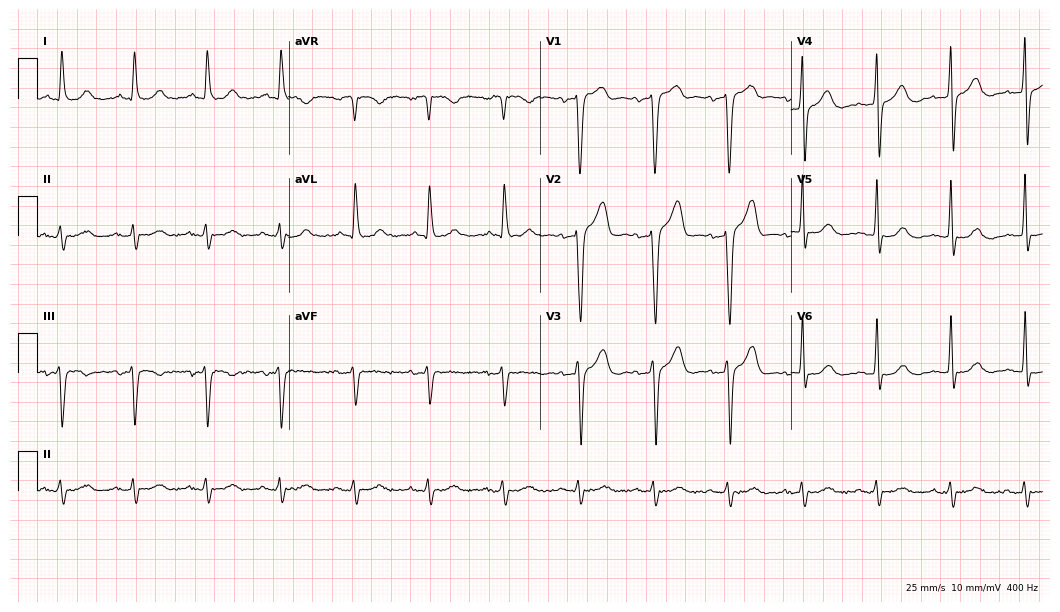
ECG — a male patient, 77 years old. Screened for six findings — first-degree AV block, right bundle branch block (RBBB), left bundle branch block (LBBB), sinus bradycardia, atrial fibrillation (AF), sinus tachycardia — none is recorded.